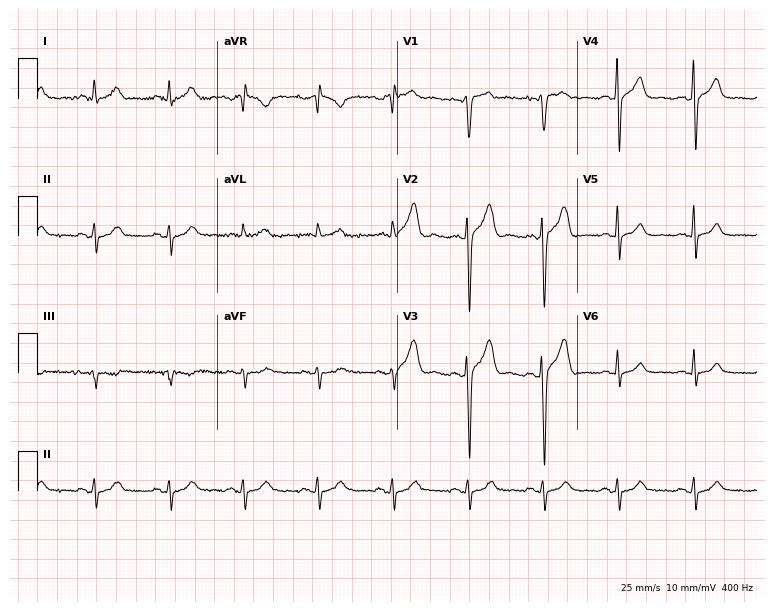
12-lead ECG from a male patient, 33 years old. Screened for six findings — first-degree AV block, right bundle branch block, left bundle branch block, sinus bradycardia, atrial fibrillation, sinus tachycardia — none is recorded. Only these six findings were labelled.